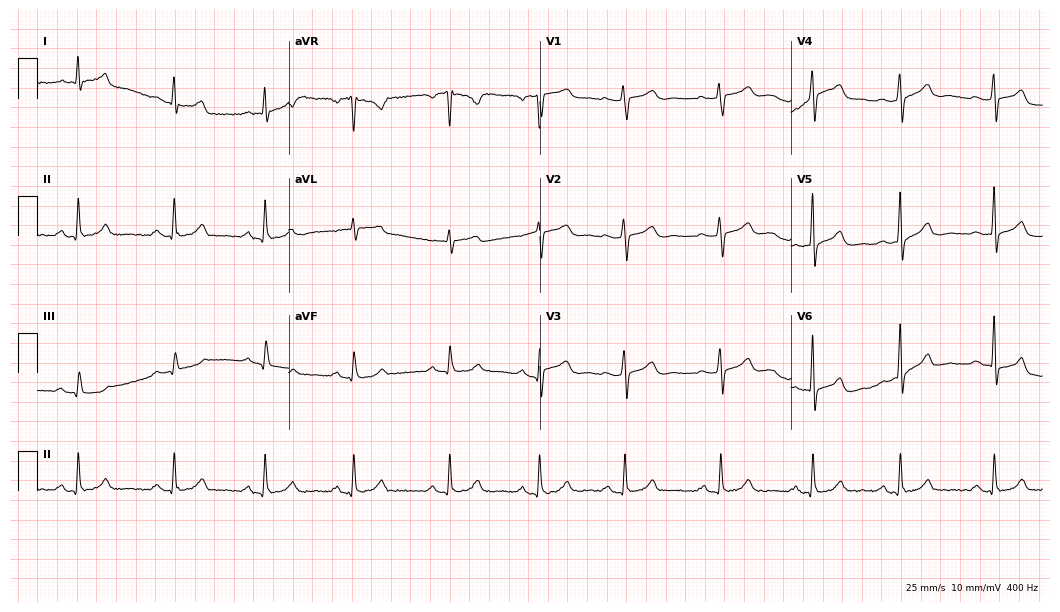
Standard 12-lead ECG recorded from a 40-year-old male patient (10.2-second recording at 400 Hz). Read as a normal ECG.